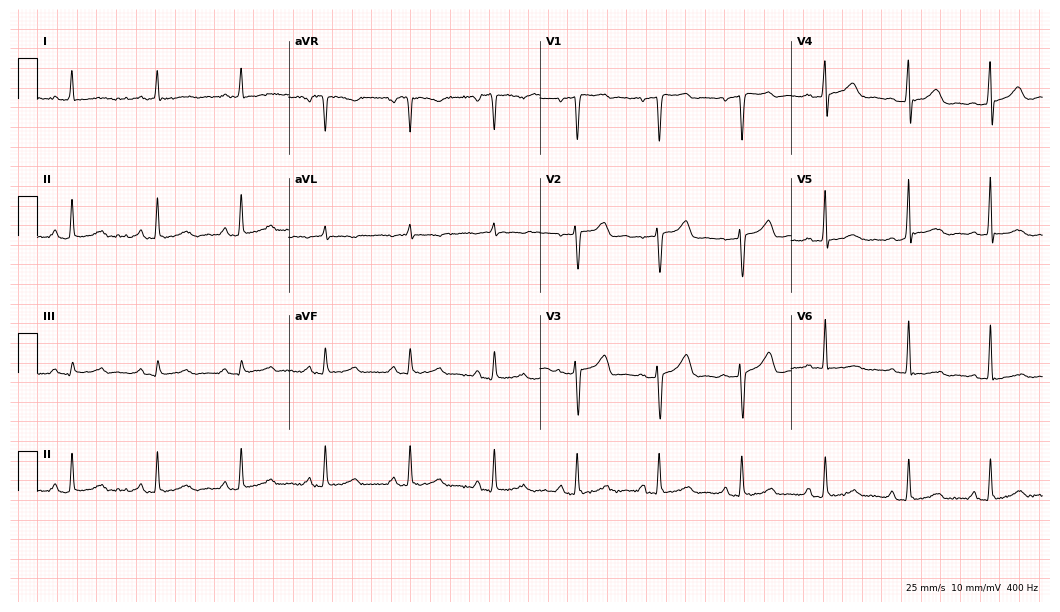
Resting 12-lead electrocardiogram. Patient: a woman, 43 years old. None of these six findings is recorded: first-degree AV block, right bundle branch block, left bundle branch block, sinus bradycardia, atrial fibrillation, sinus tachycardia.